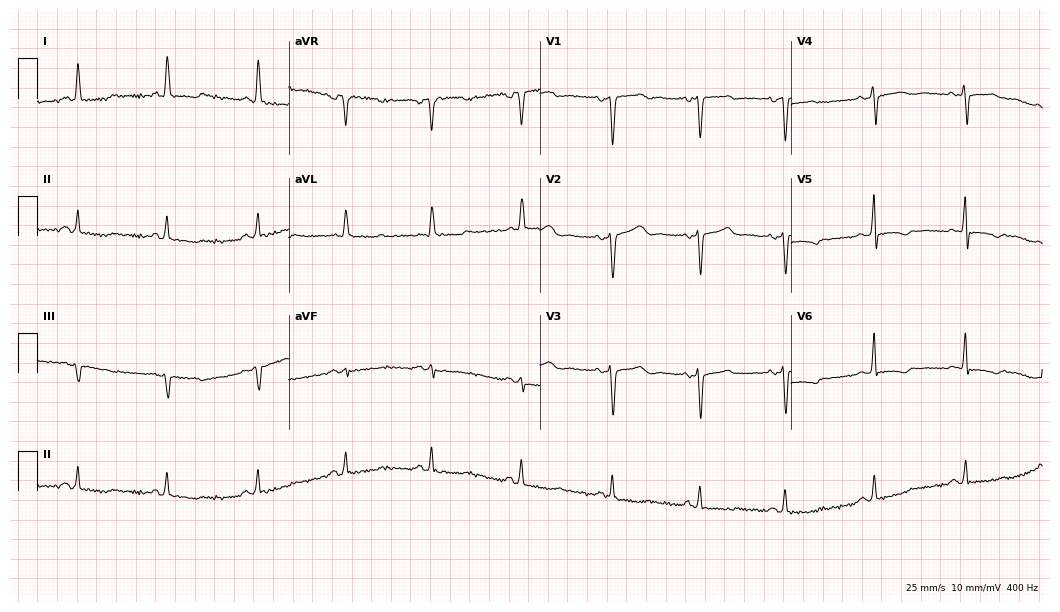
12-lead ECG from a 60-year-old female. No first-degree AV block, right bundle branch block, left bundle branch block, sinus bradycardia, atrial fibrillation or sinus tachycardia recorded for this tracing.